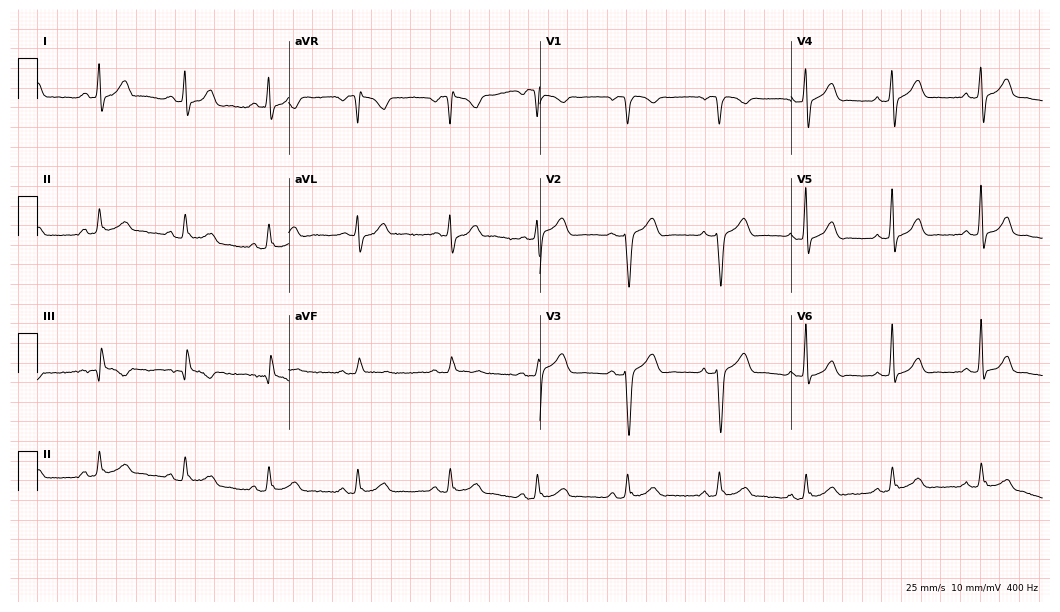
12-lead ECG (10.2-second recording at 400 Hz) from a male, 30 years old. Labelled as a normal ECG.